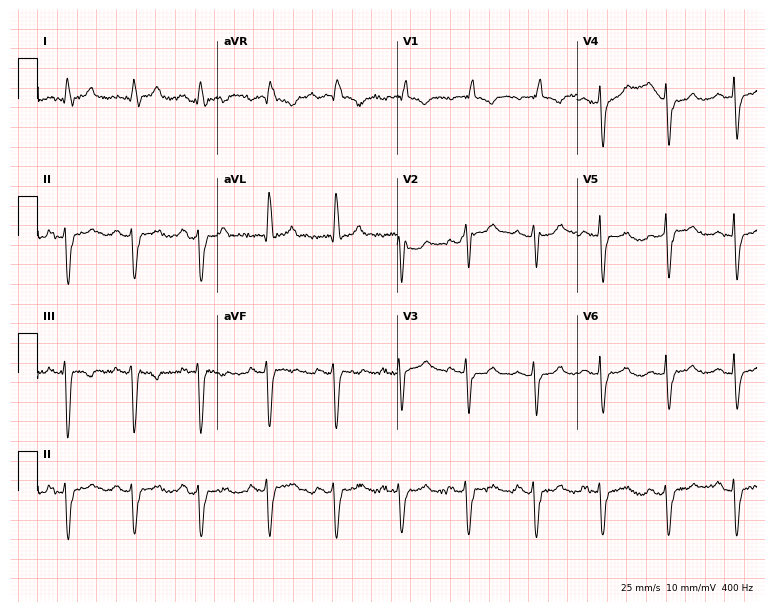
Electrocardiogram (7.3-second recording at 400 Hz), a female, 68 years old. Of the six screened findings (first-degree AV block, right bundle branch block, left bundle branch block, sinus bradycardia, atrial fibrillation, sinus tachycardia), none is recorded. Other findings, if any, are not listed.